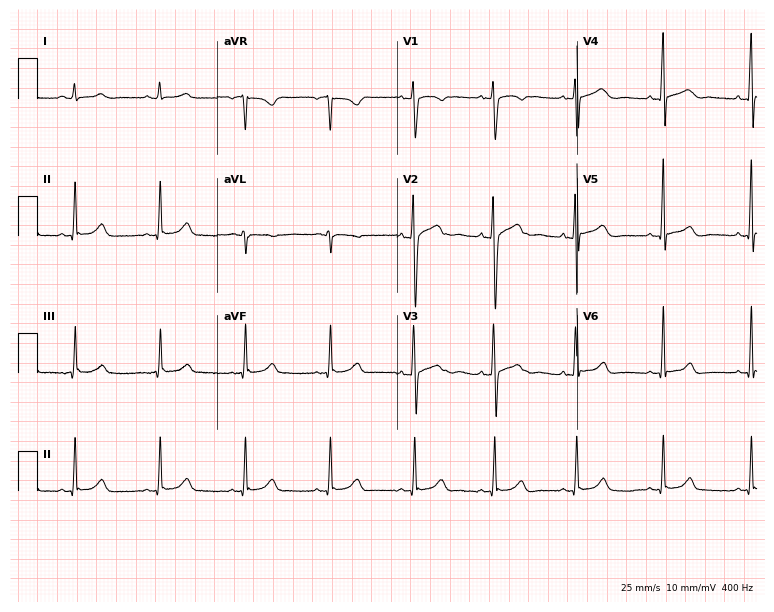
12-lead ECG from a 28-year-old female. Recorded interpretation: within normal limits.